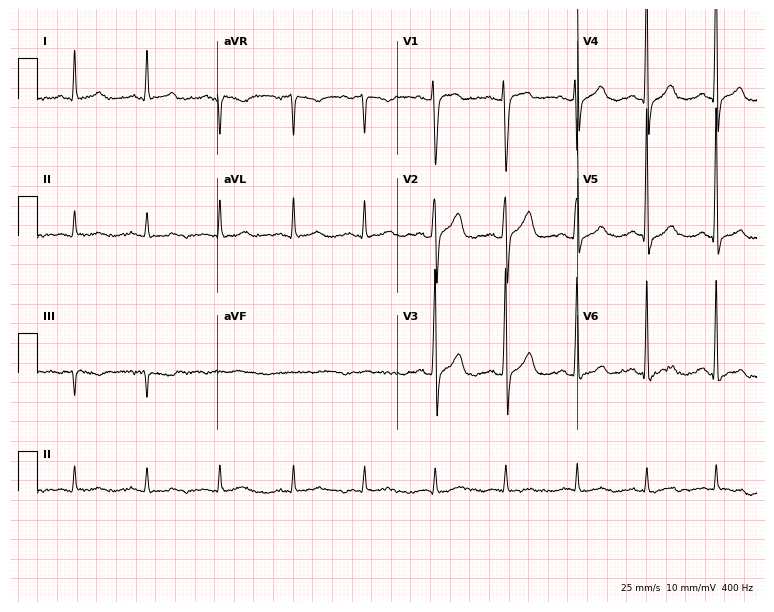
12-lead ECG (7.3-second recording at 400 Hz) from a 63-year-old man. Screened for six findings — first-degree AV block, right bundle branch block, left bundle branch block, sinus bradycardia, atrial fibrillation, sinus tachycardia — none is recorded.